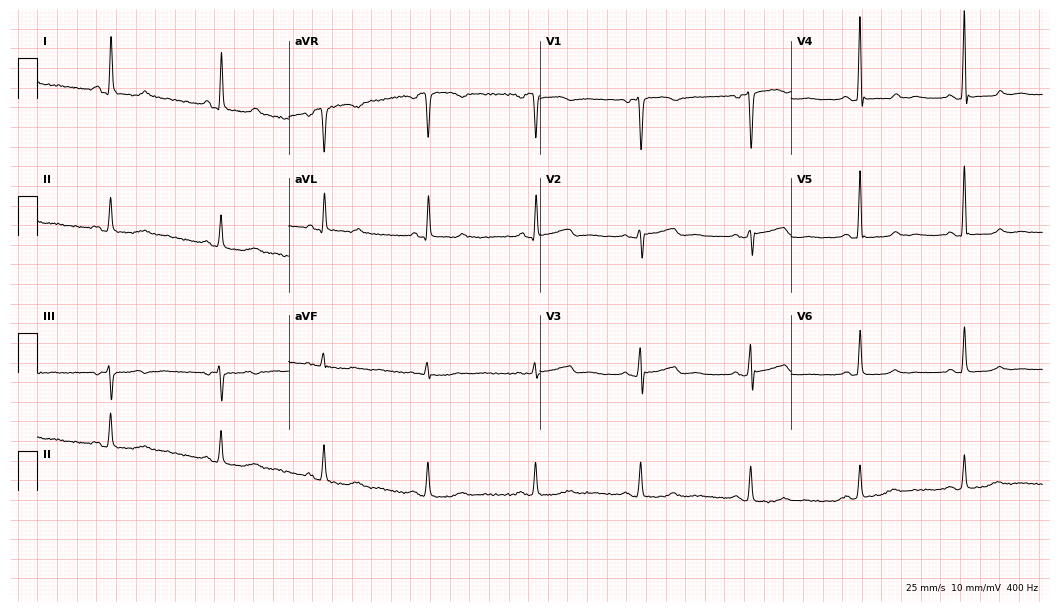
Electrocardiogram (10.2-second recording at 400 Hz), a 67-year-old woman. Overall reading on record: normal ECG.